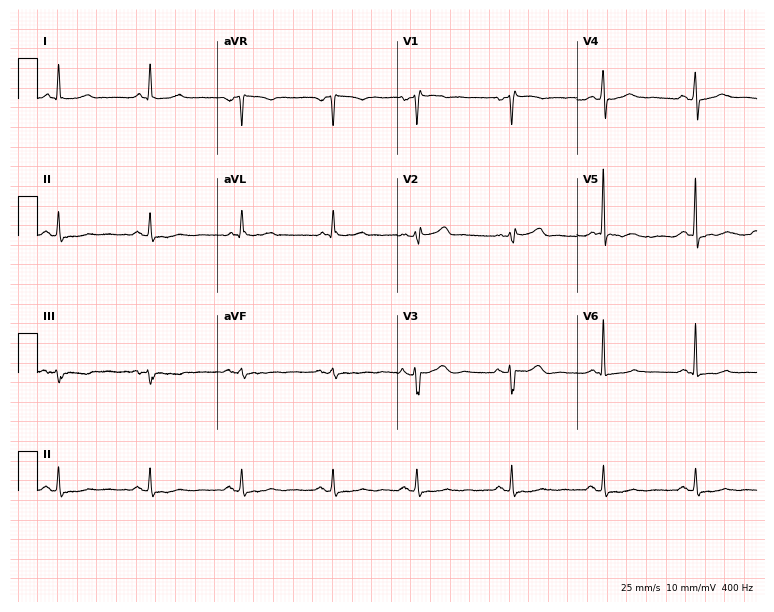
Electrocardiogram (7.3-second recording at 400 Hz), a female, 72 years old. Of the six screened findings (first-degree AV block, right bundle branch block, left bundle branch block, sinus bradycardia, atrial fibrillation, sinus tachycardia), none is recorded.